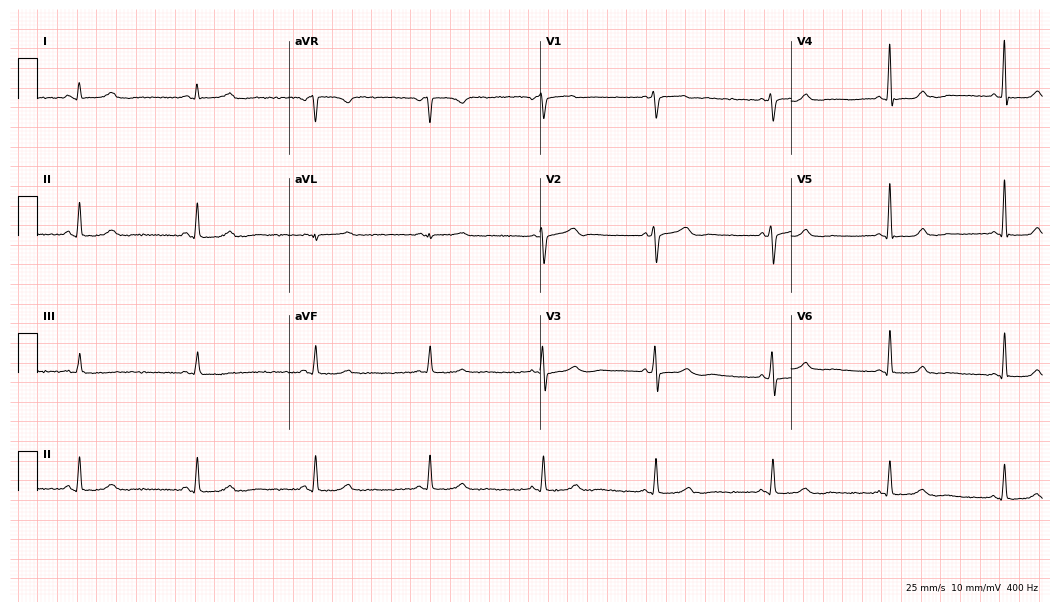
12-lead ECG from a 54-year-old woman. No first-degree AV block, right bundle branch block (RBBB), left bundle branch block (LBBB), sinus bradycardia, atrial fibrillation (AF) or sinus tachycardia recorded for this tracing.